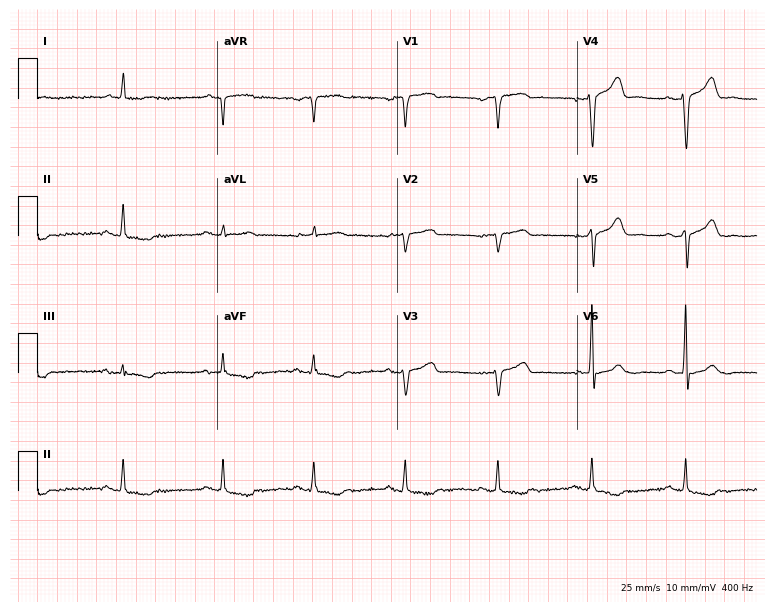
12-lead ECG (7.3-second recording at 400 Hz) from a man, 73 years old. Screened for six findings — first-degree AV block, right bundle branch block, left bundle branch block, sinus bradycardia, atrial fibrillation, sinus tachycardia — none is recorded. Other findings, if any, are not listed.